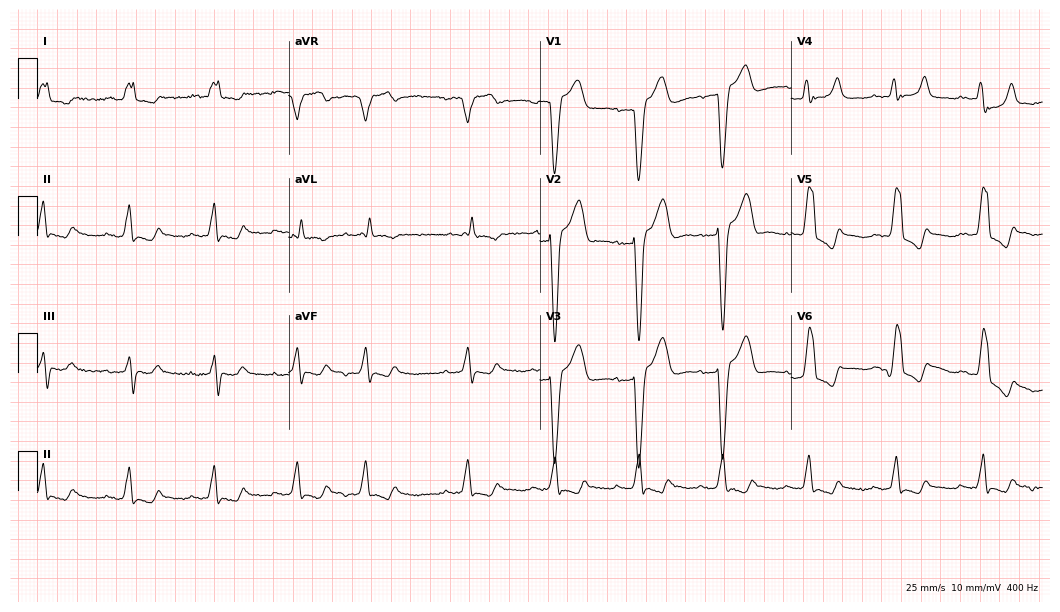
12-lead ECG from a woman, 83 years old. Shows left bundle branch block.